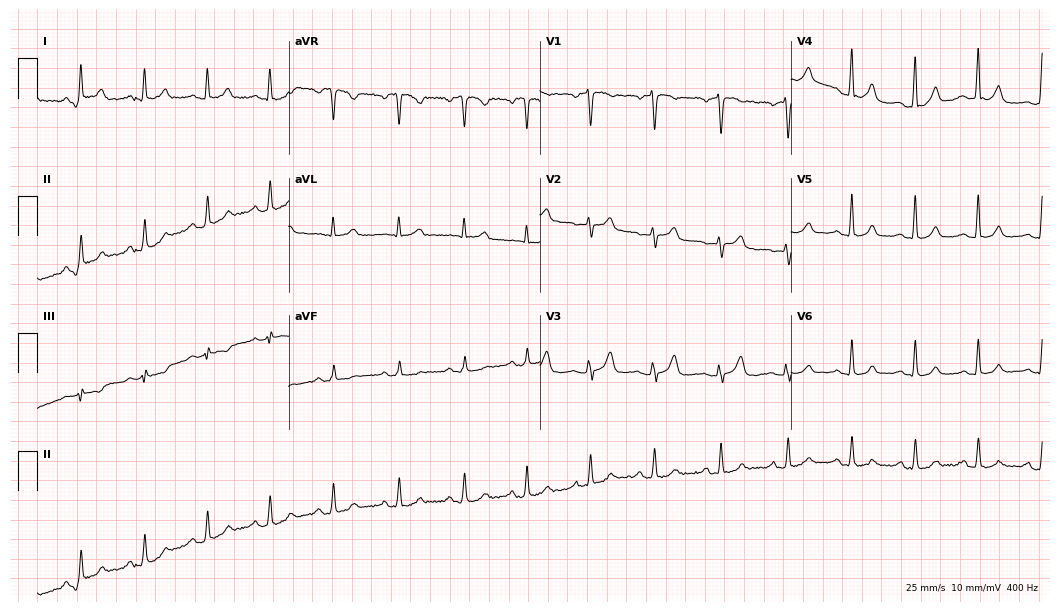
Resting 12-lead electrocardiogram (10.2-second recording at 400 Hz). Patient: a 49-year-old female. Read as a normal ECG.